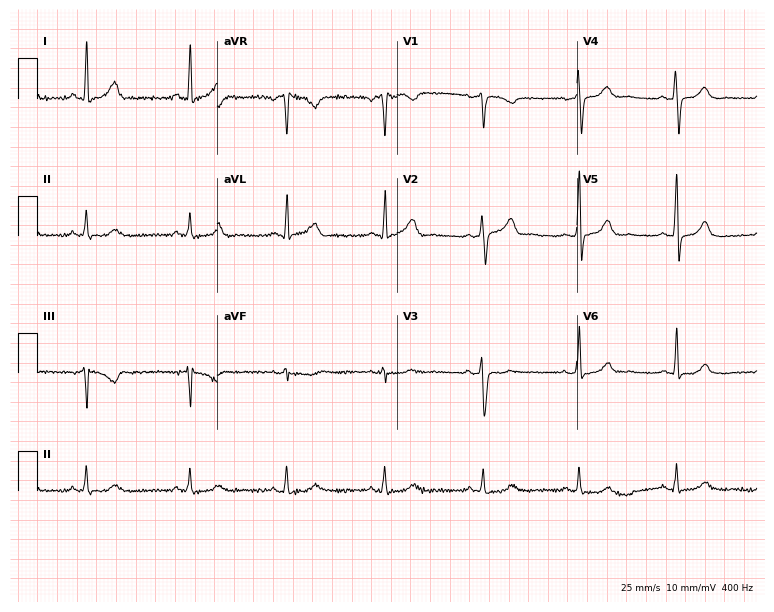
ECG (7.3-second recording at 400 Hz) — a 52-year-old woman. Screened for six findings — first-degree AV block, right bundle branch block (RBBB), left bundle branch block (LBBB), sinus bradycardia, atrial fibrillation (AF), sinus tachycardia — none is recorded.